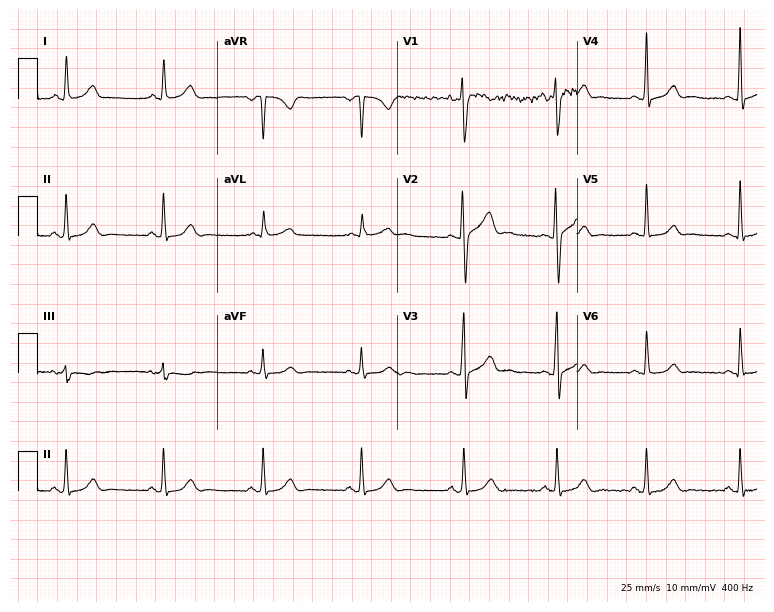
12-lead ECG from a man, 27 years old (7.3-second recording at 400 Hz). Recorded interpretation: within normal limits.